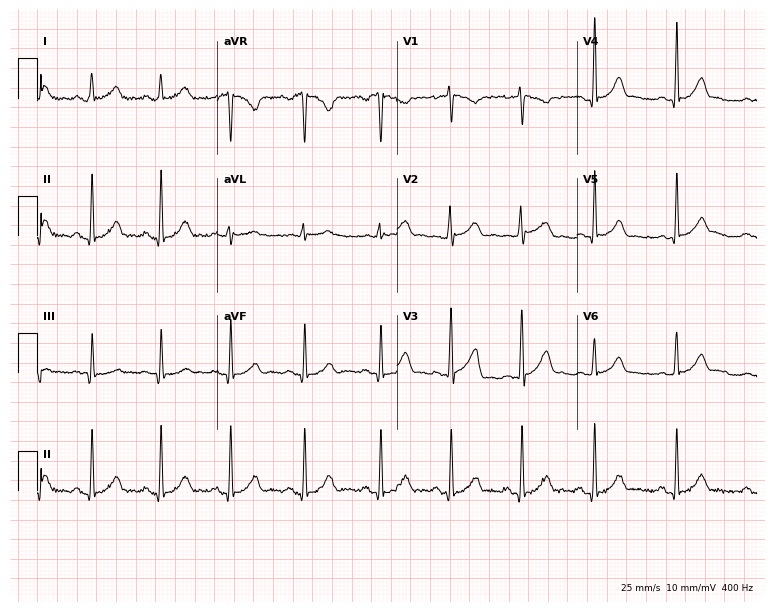
Standard 12-lead ECG recorded from a 29-year-old female. Read as a normal ECG.